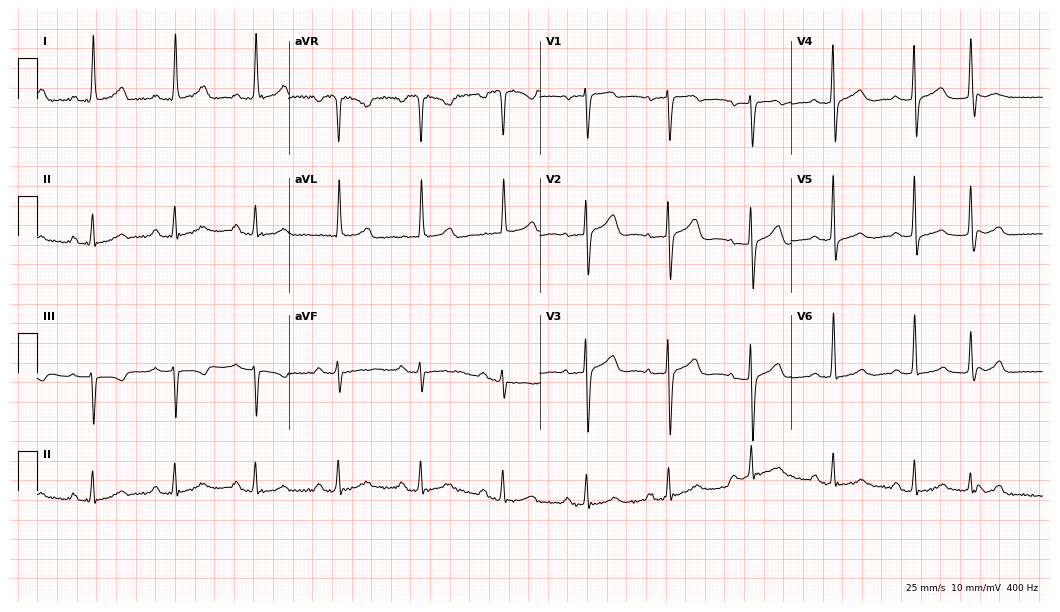
ECG — a 66-year-old female patient. Labelled as a normal ECG.